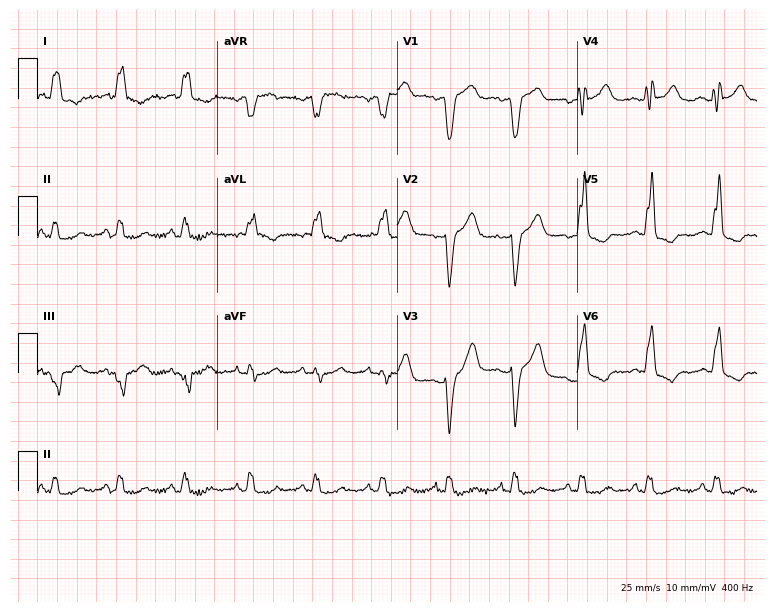
Standard 12-lead ECG recorded from an 87-year-old male patient. The tracing shows left bundle branch block (LBBB).